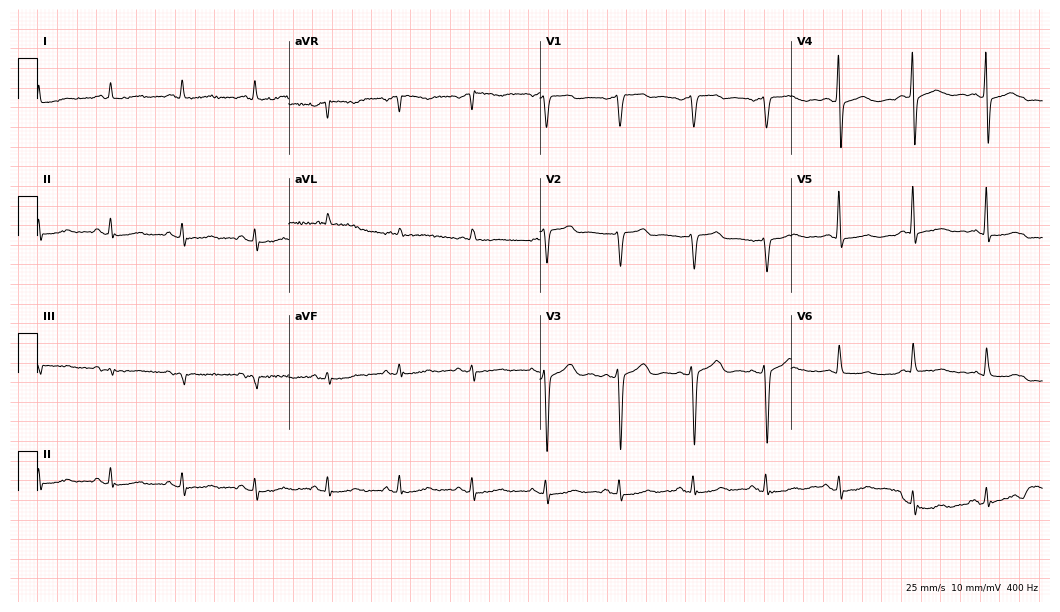
Electrocardiogram, a 73-year-old man. Of the six screened findings (first-degree AV block, right bundle branch block, left bundle branch block, sinus bradycardia, atrial fibrillation, sinus tachycardia), none is recorded. Only these six findings were labelled.